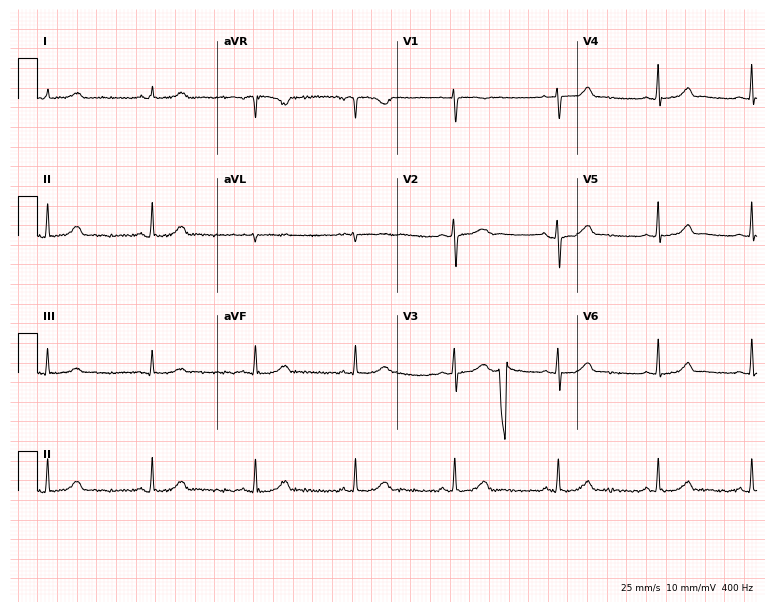
12-lead ECG from a female patient, 18 years old. Recorded interpretation: within normal limits.